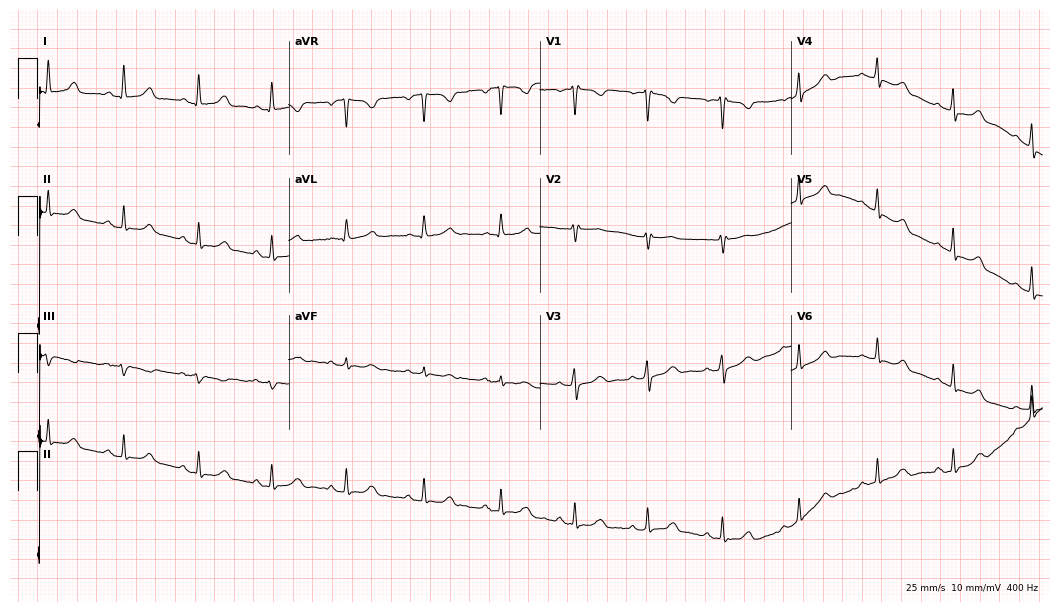
12-lead ECG from a 40-year-old woman. Recorded interpretation: within normal limits.